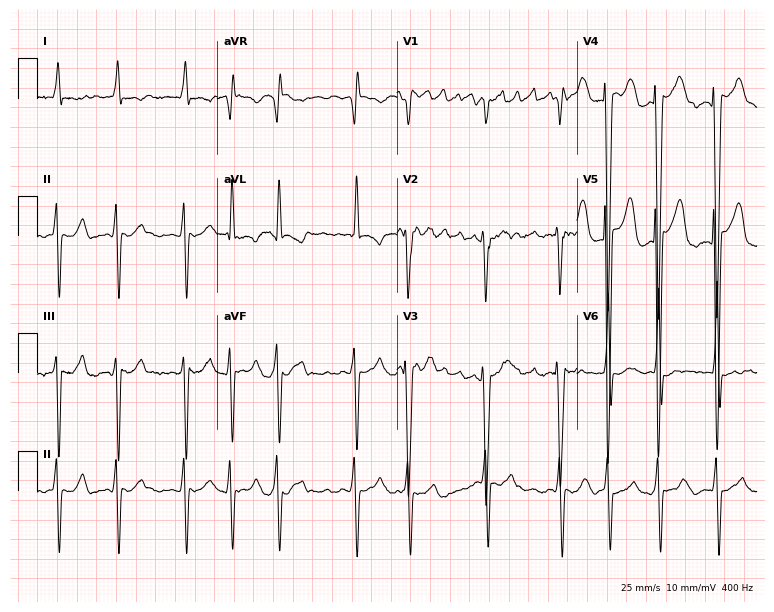
Electrocardiogram (7.3-second recording at 400 Hz), a male patient, 38 years old. Interpretation includes atrial fibrillation.